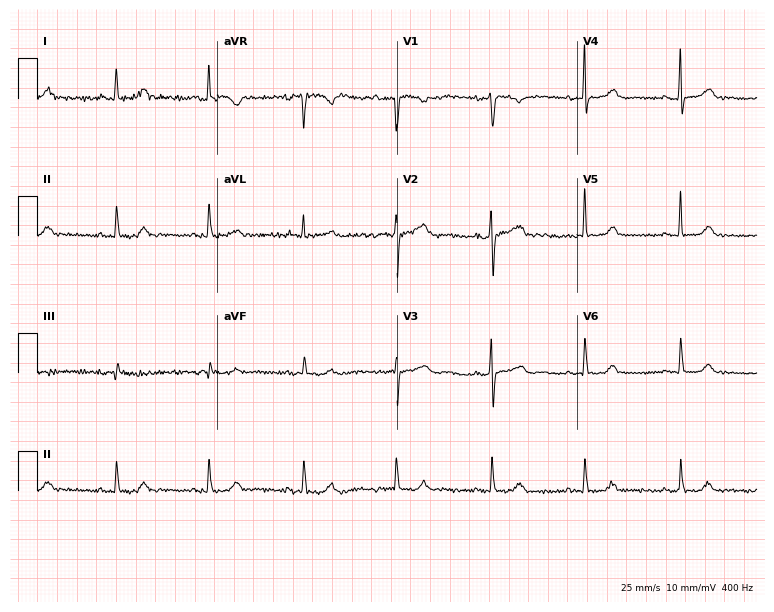
Resting 12-lead electrocardiogram (7.3-second recording at 400 Hz). Patient: a 59-year-old female. Read as a normal ECG.